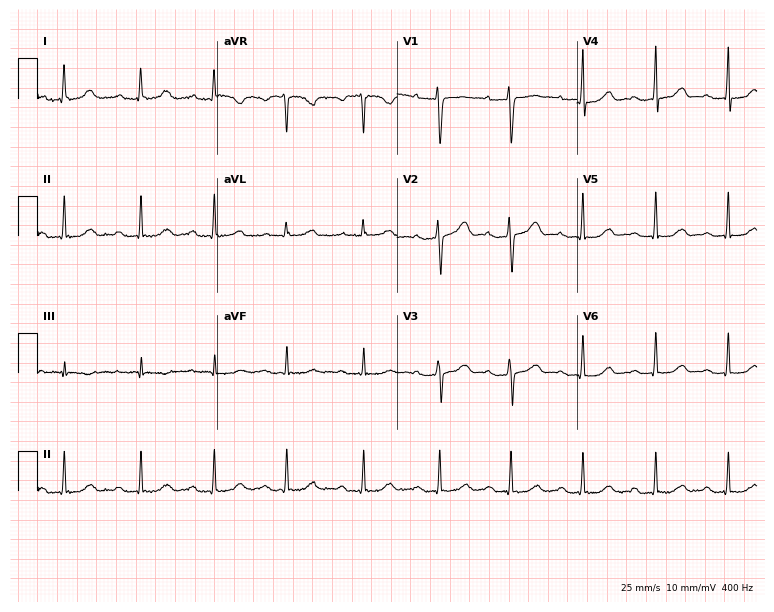
Standard 12-lead ECG recorded from a 39-year-old female patient (7.3-second recording at 400 Hz). Read as a normal ECG.